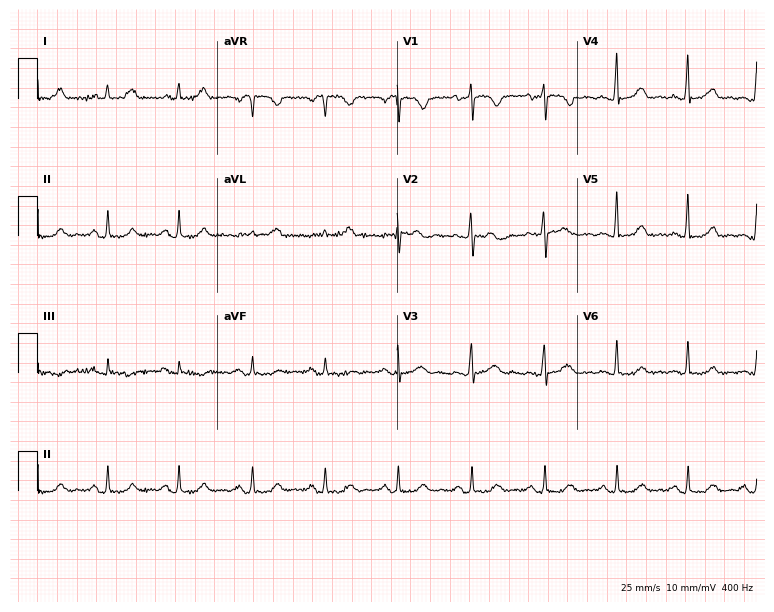
Standard 12-lead ECG recorded from a 42-year-old female patient (7.3-second recording at 400 Hz). None of these six findings is recorded: first-degree AV block, right bundle branch block, left bundle branch block, sinus bradycardia, atrial fibrillation, sinus tachycardia. Findings outside these six are not listed.